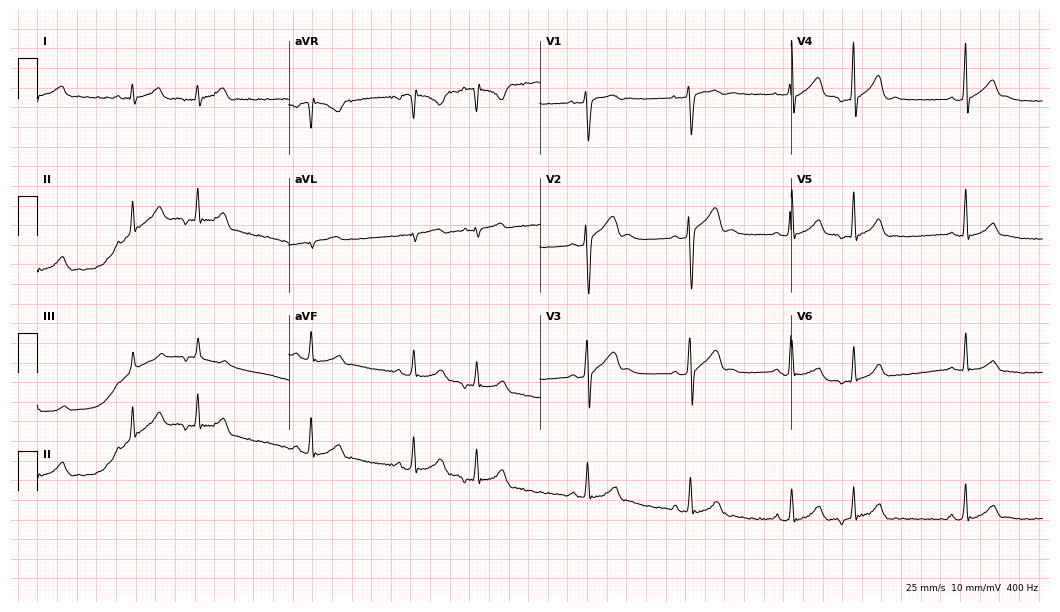
Resting 12-lead electrocardiogram (10.2-second recording at 400 Hz). Patient: a male, 19 years old. None of these six findings is recorded: first-degree AV block, right bundle branch block (RBBB), left bundle branch block (LBBB), sinus bradycardia, atrial fibrillation (AF), sinus tachycardia.